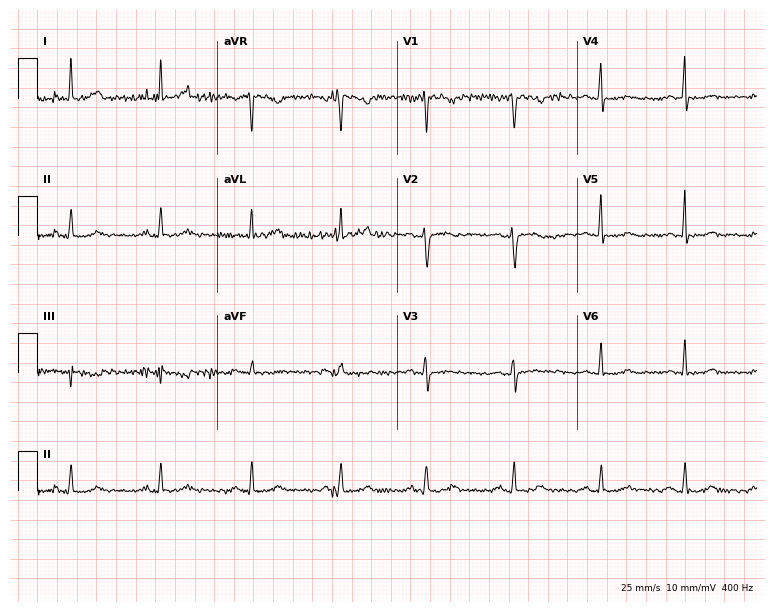
ECG — a 45-year-old female patient. Screened for six findings — first-degree AV block, right bundle branch block (RBBB), left bundle branch block (LBBB), sinus bradycardia, atrial fibrillation (AF), sinus tachycardia — none is recorded.